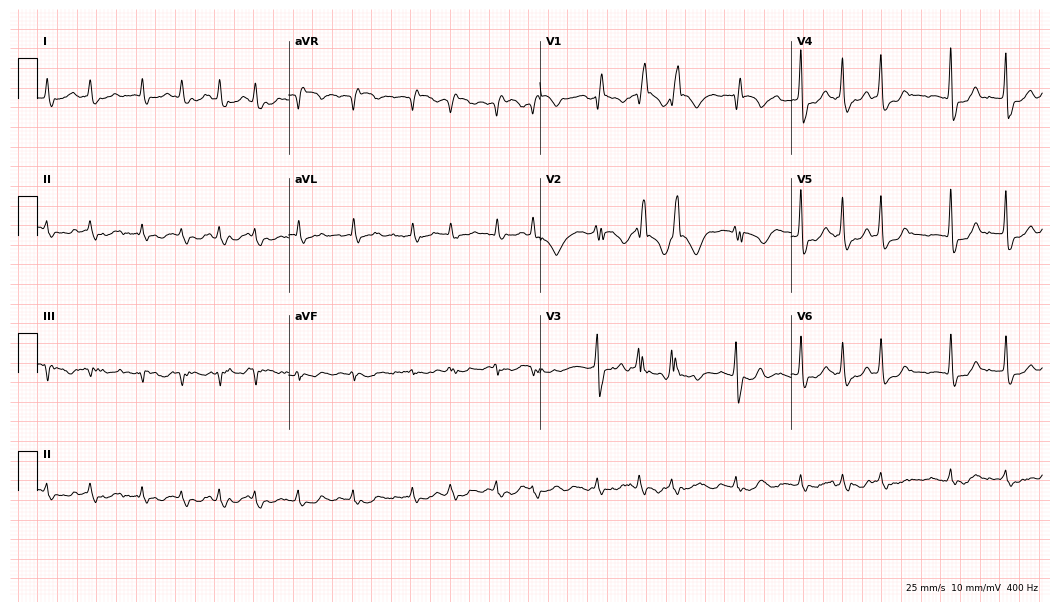
ECG — a 67-year-old woman. Screened for six findings — first-degree AV block, right bundle branch block (RBBB), left bundle branch block (LBBB), sinus bradycardia, atrial fibrillation (AF), sinus tachycardia — none is recorded.